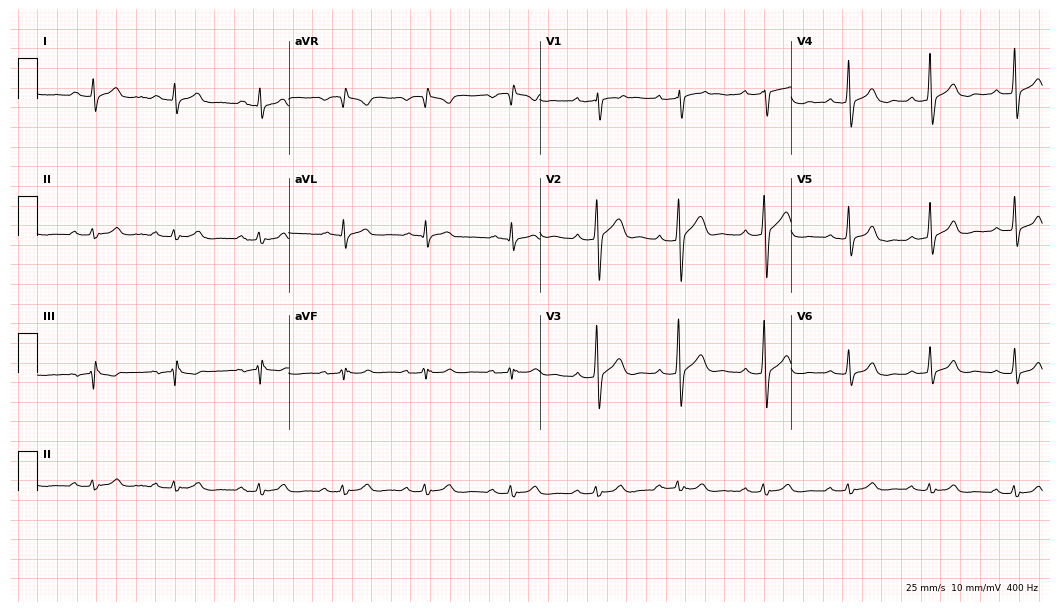
12-lead ECG from a 37-year-old man (10.2-second recording at 400 Hz). Recorded interpretation: within normal limits.